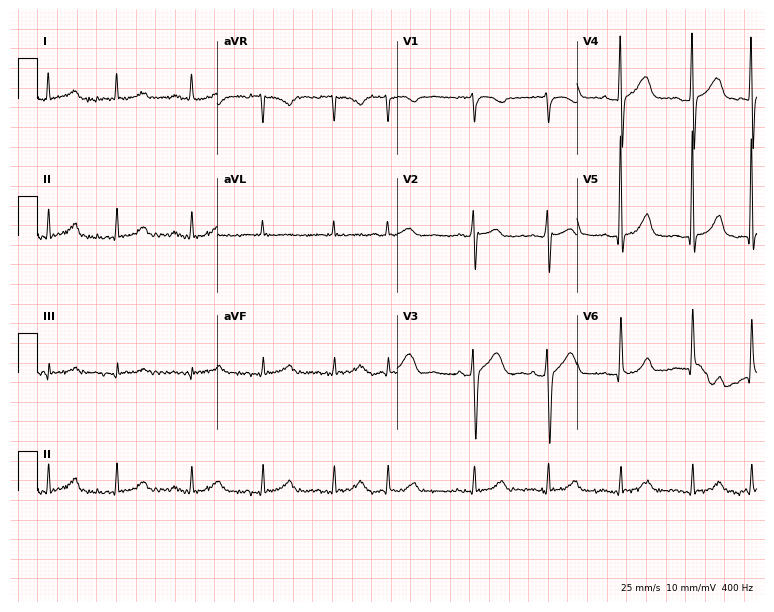
Standard 12-lead ECG recorded from a male patient, 84 years old. None of these six findings is recorded: first-degree AV block, right bundle branch block (RBBB), left bundle branch block (LBBB), sinus bradycardia, atrial fibrillation (AF), sinus tachycardia. Only these six findings were labelled.